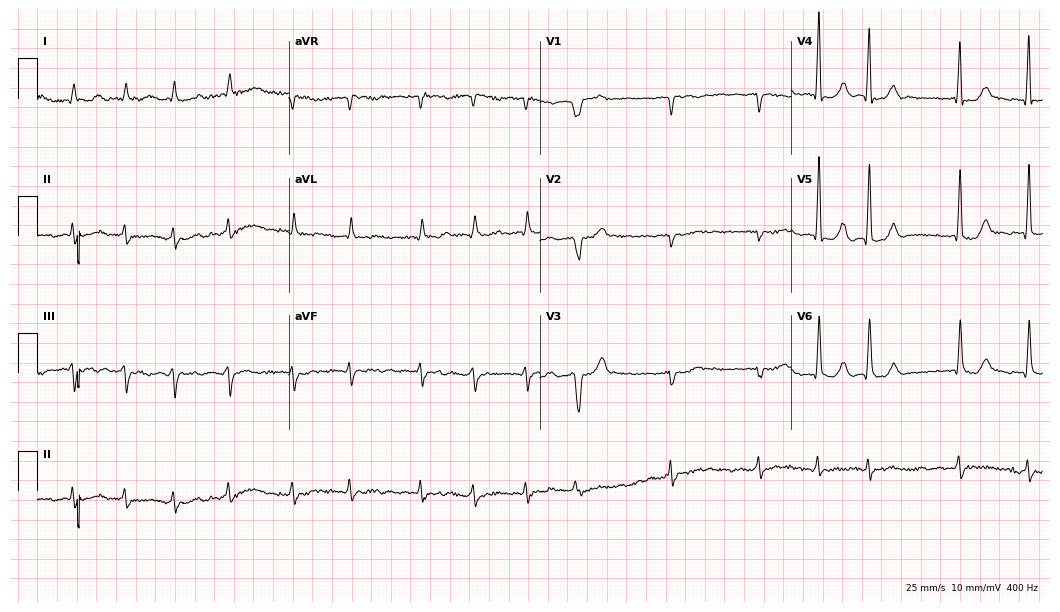
ECG — an 83-year-old man. Findings include atrial fibrillation (AF).